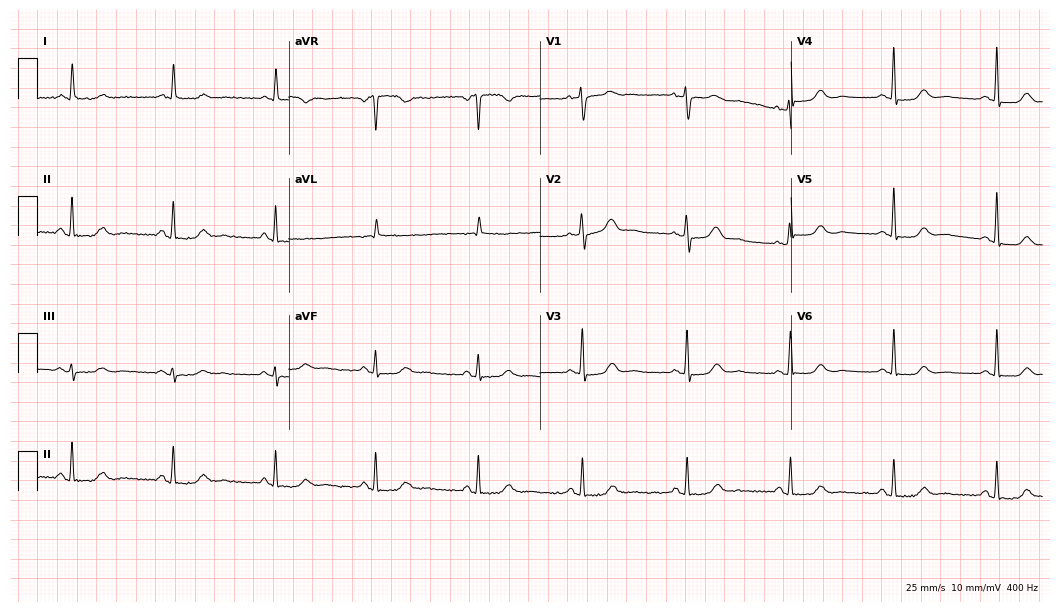
Standard 12-lead ECG recorded from a 74-year-old female (10.2-second recording at 400 Hz). Read as a normal ECG.